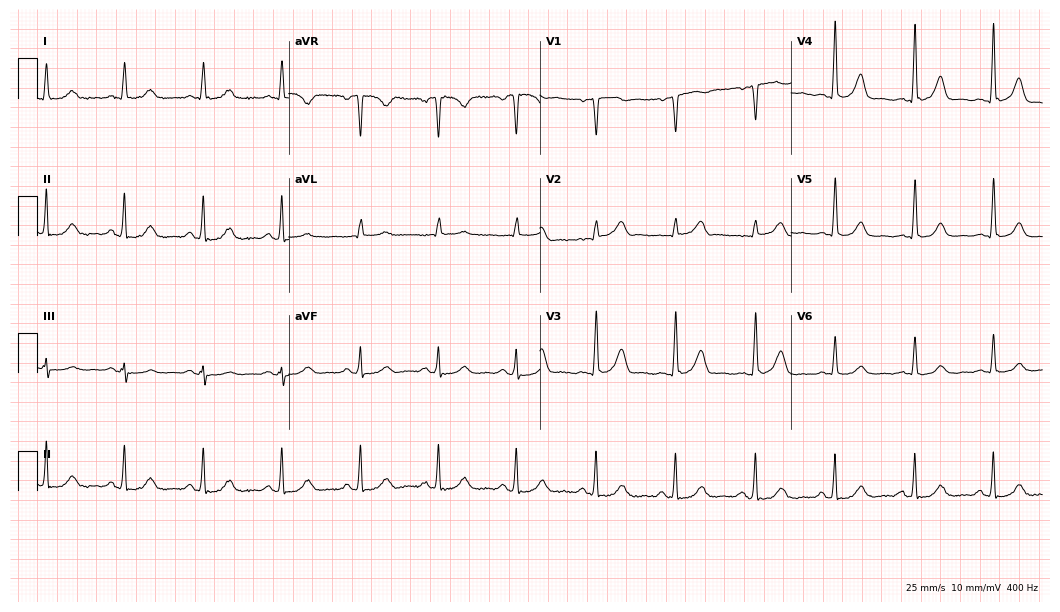
12-lead ECG from a 69-year-old man. No first-degree AV block, right bundle branch block (RBBB), left bundle branch block (LBBB), sinus bradycardia, atrial fibrillation (AF) or sinus tachycardia recorded for this tracing. Other findings, if any, are not listed.